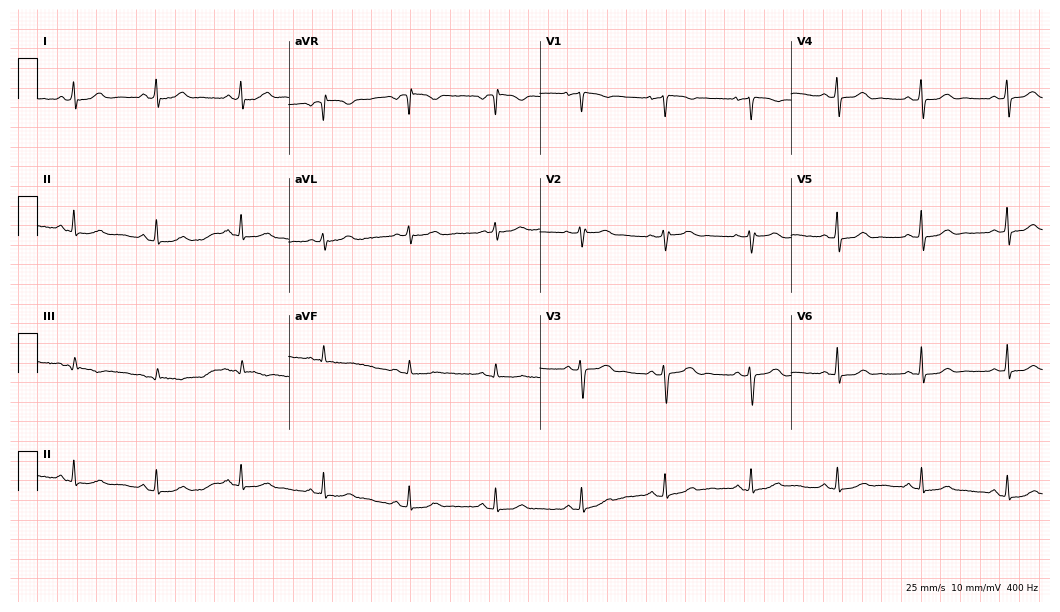
12-lead ECG (10.2-second recording at 400 Hz) from a female patient, 34 years old. Labelled as a normal ECG.